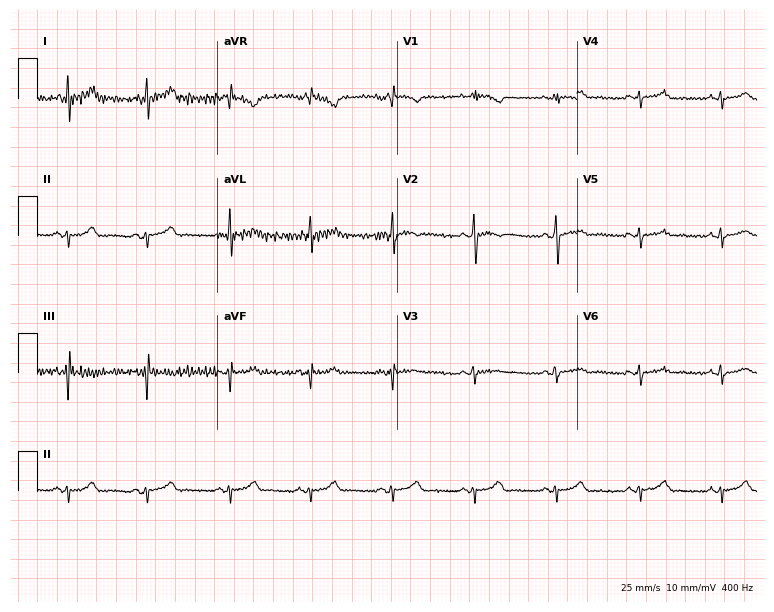
12-lead ECG (7.3-second recording at 400 Hz) from a 26-year-old male. Screened for six findings — first-degree AV block, right bundle branch block, left bundle branch block, sinus bradycardia, atrial fibrillation, sinus tachycardia — none is recorded. Only these six findings were labelled.